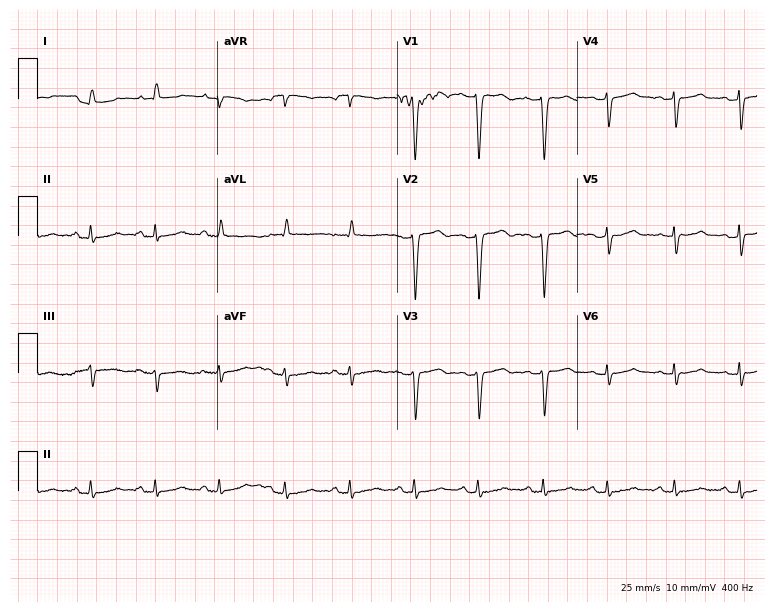
ECG (7.3-second recording at 400 Hz) — a 19-year-old woman. Screened for six findings — first-degree AV block, right bundle branch block, left bundle branch block, sinus bradycardia, atrial fibrillation, sinus tachycardia — none is recorded. Other findings, if any, are not listed.